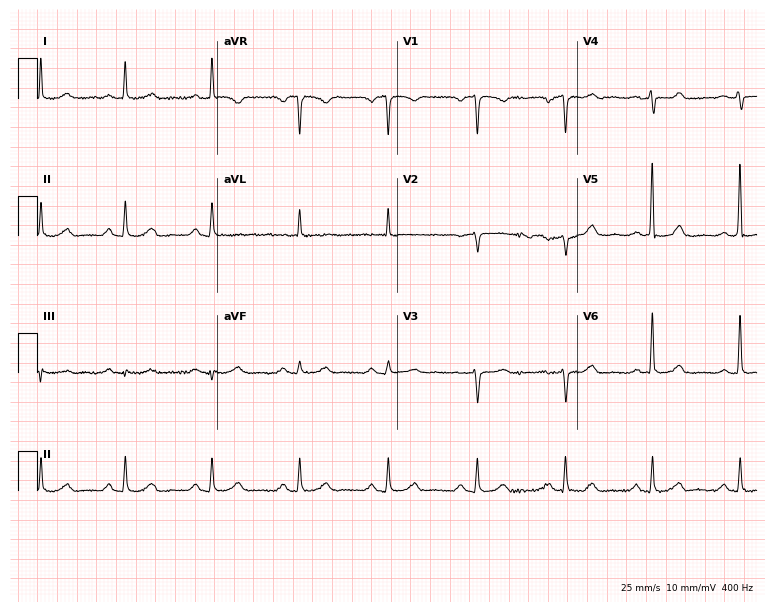
ECG (7.3-second recording at 400 Hz) — a female patient, 63 years old. Screened for six findings — first-degree AV block, right bundle branch block, left bundle branch block, sinus bradycardia, atrial fibrillation, sinus tachycardia — none is recorded.